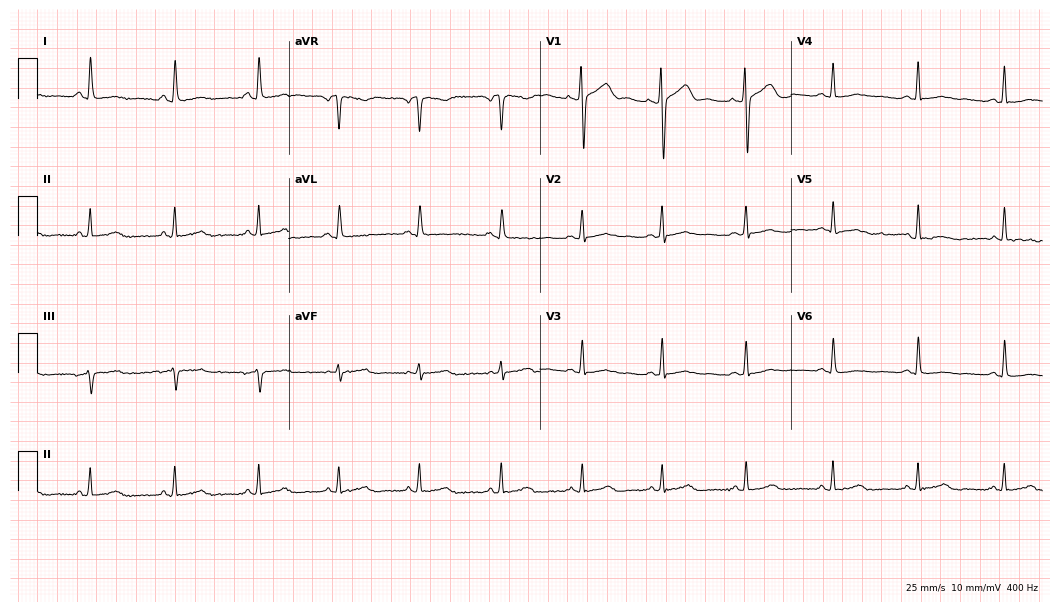
12-lead ECG from a female, 30 years old. Screened for six findings — first-degree AV block, right bundle branch block, left bundle branch block, sinus bradycardia, atrial fibrillation, sinus tachycardia — none is recorded.